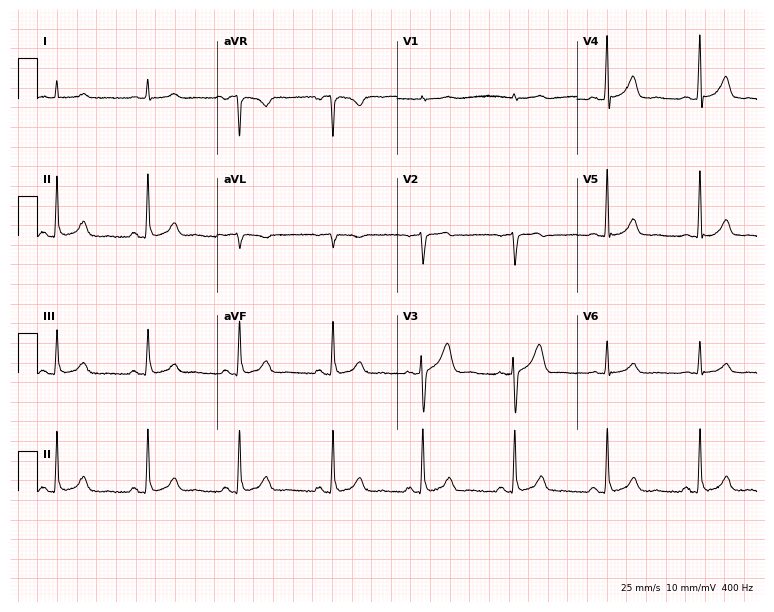
Electrocardiogram (7.3-second recording at 400 Hz), a man, 50 years old. Overall reading on record: normal ECG.